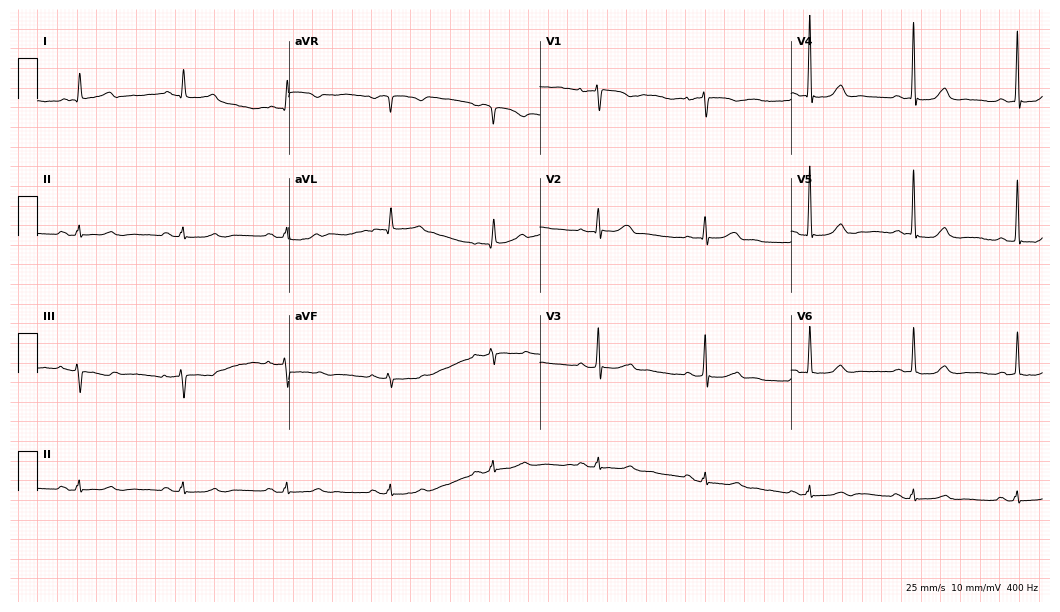
Electrocardiogram (10.2-second recording at 400 Hz), a woman, 69 years old. Of the six screened findings (first-degree AV block, right bundle branch block, left bundle branch block, sinus bradycardia, atrial fibrillation, sinus tachycardia), none is recorded.